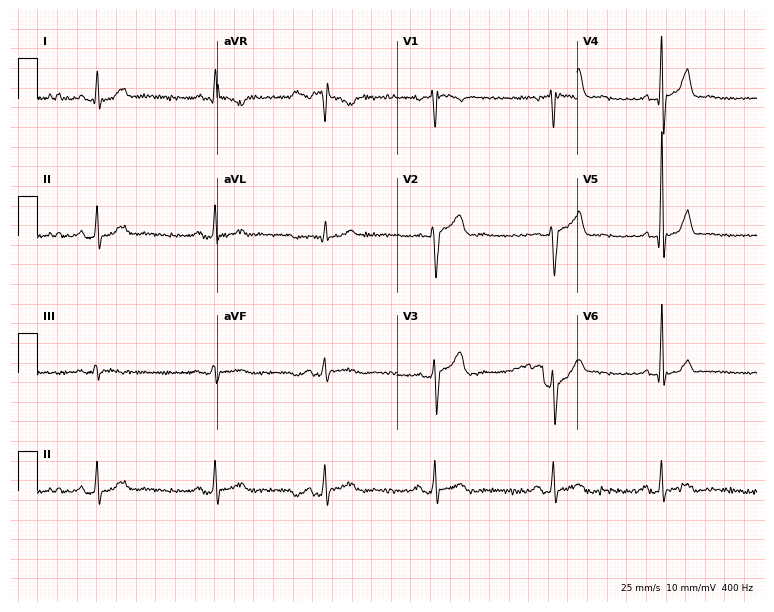
ECG — a man, 39 years old. Screened for six findings — first-degree AV block, right bundle branch block, left bundle branch block, sinus bradycardia, atrial fibrillation, sinus tachycardia — none is recorded.